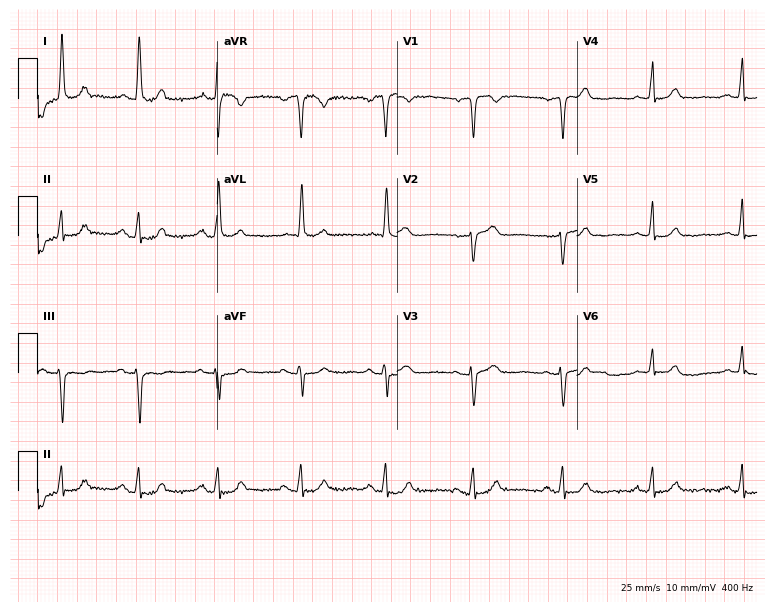
12-lead ECG (7.3-second recording at 400 Hz) from an 81-year-old female. Labelled as a normal ECG.